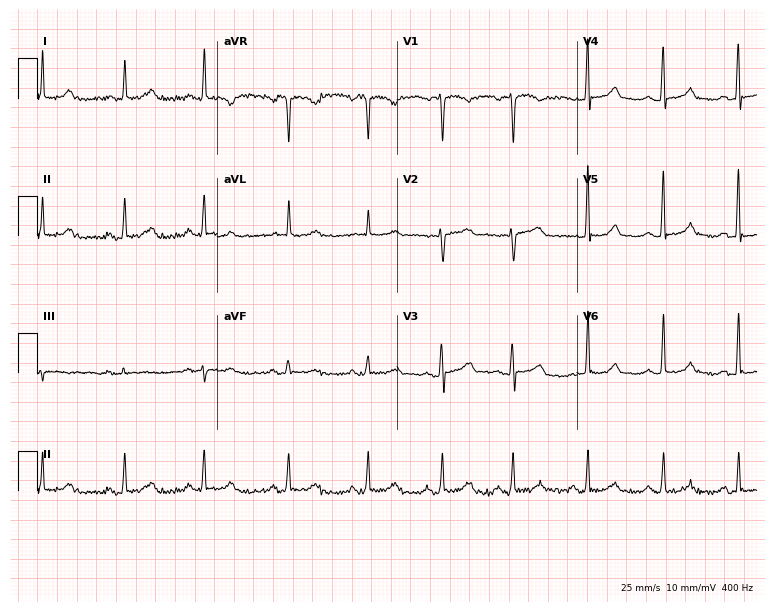
Resting 12-lead electrocardiogram (7.3-second recording at 400 Hz). Patient: a female, 62 years old. Read as a normal ECG.